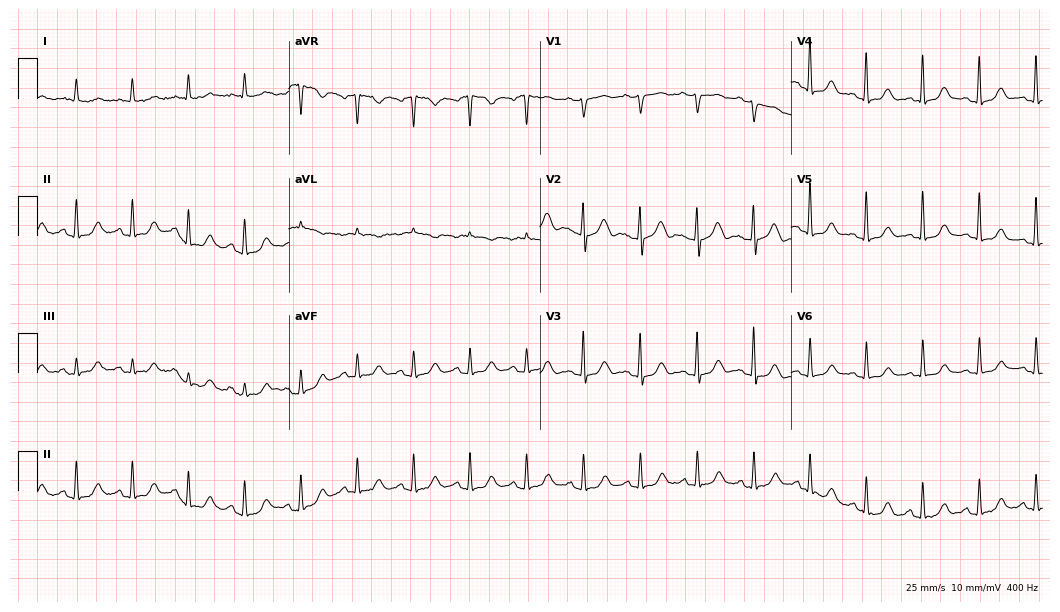
Standard 12-lead ECG recorded from a female patient, 83 years old. The tracing shows sinus tachycardia (a sinus rate of 100 beats per minute or more).